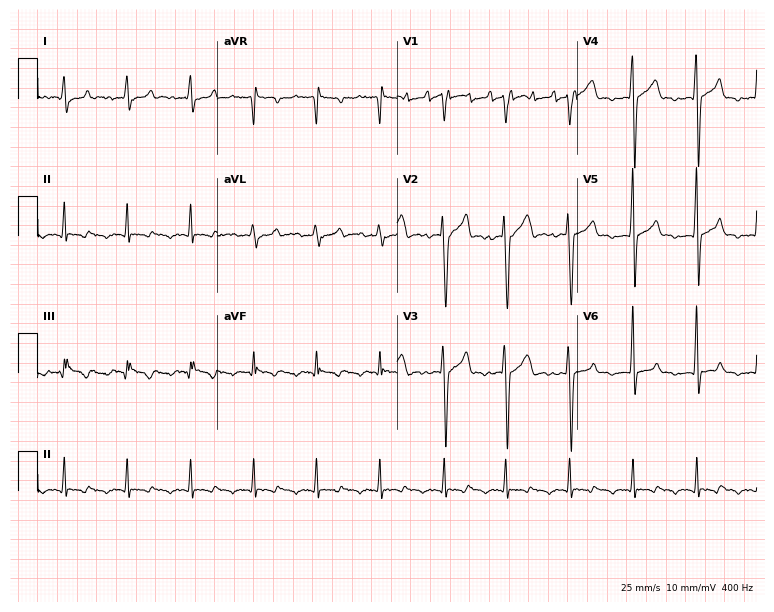
12-lead ECG from a male, 33 years old. Screened for six findings — first-degree AV block, right bundle branch block (RBBB), left bundle branch block (LBBB), sinus bradycardia, atrial fibrillation (AF), sinus tachycardia — none is recorded.